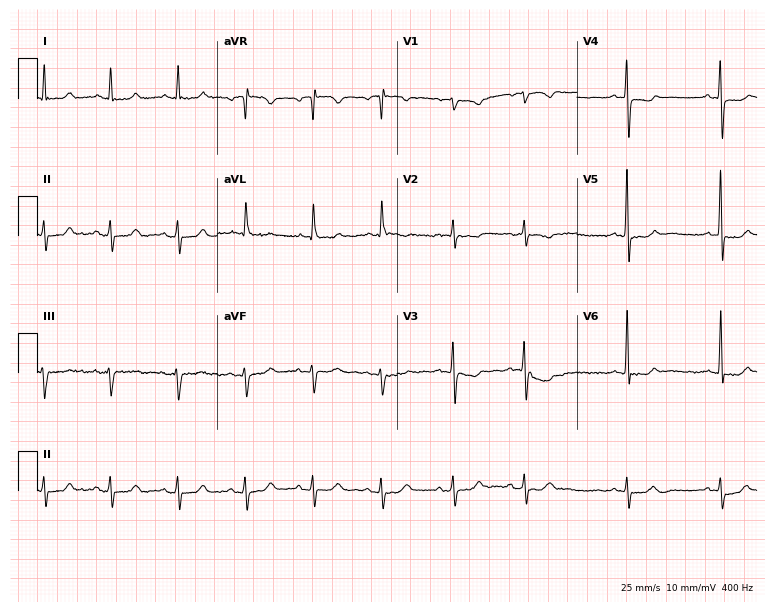
Electrocardiogram, a 73-year-old female. Of the six screened findings (first-degree AV block, right bundle branch block, left bundle branch block, sinus bradycardia, atrial fibrillation, sinus tachycardia), none is recorded. Other findings, if any, are not listed.